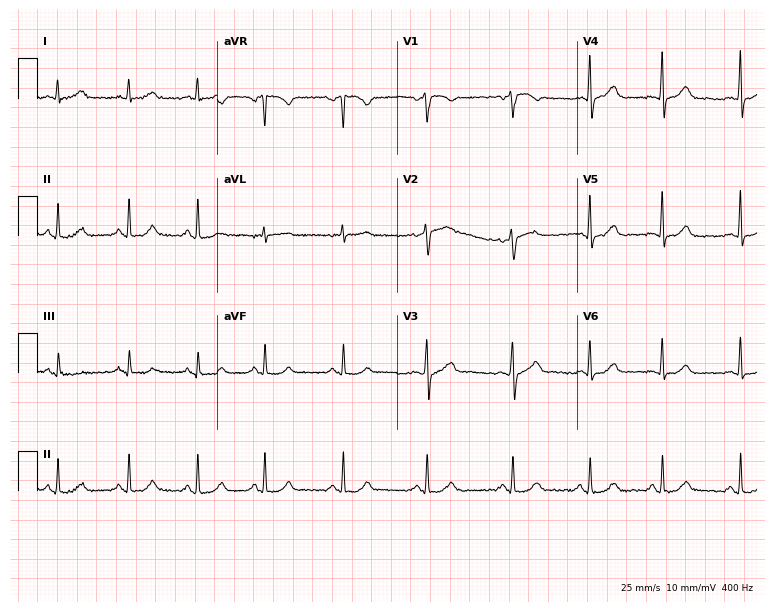
12-lead ECG from a 37-year-old female patient. Recorded interpretation: within normal limits.